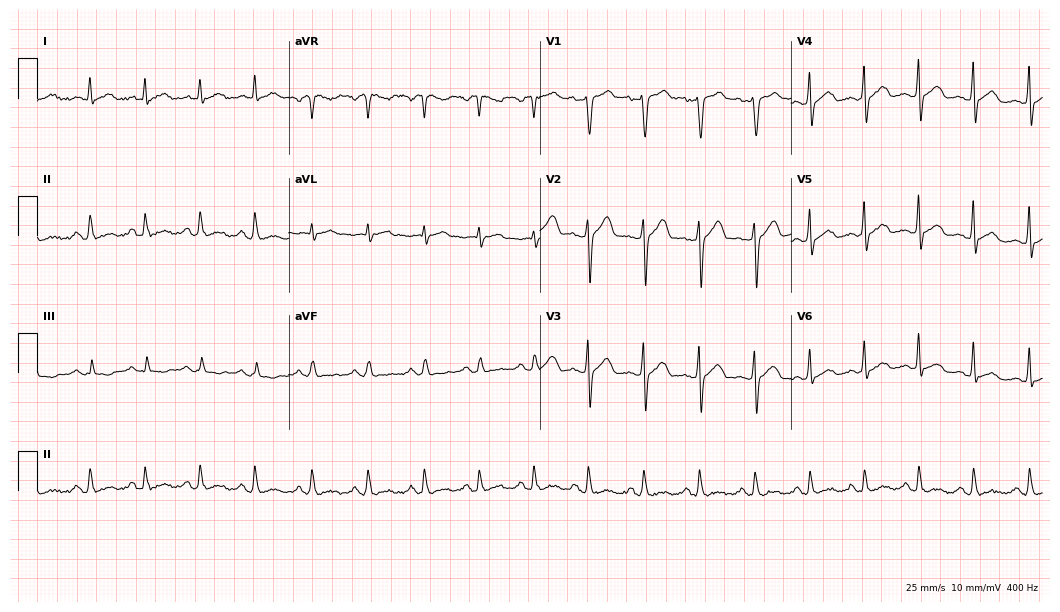
ECG — a 37-year-old male patient. Findings include sinus tachycardia (a sinus rate of 100 beats per minute or more).